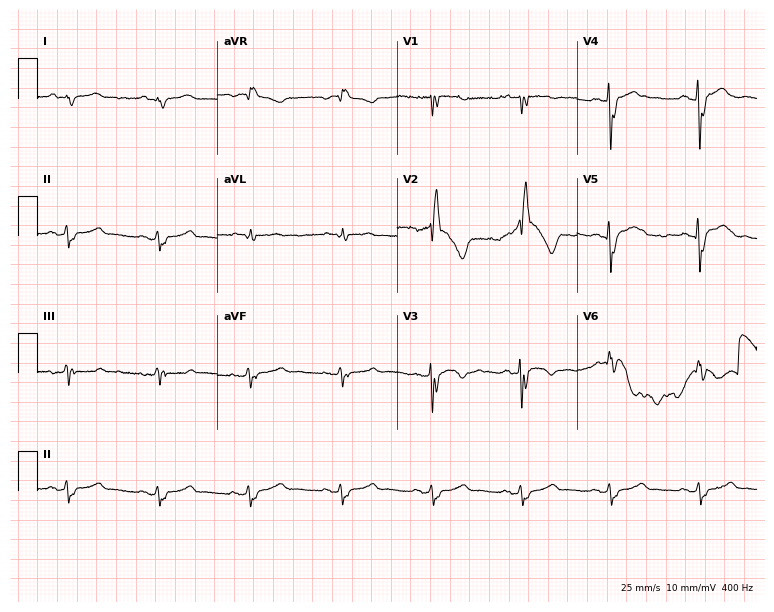
12-lead ECG from a female, 69 years old. No first-degree AV block, right bundle branch block (RBBB), left bundle branch block (LBBB), sinus bradycardia, atrial fibrillation (AF) or sinus tachycardia recorded for this tracing.